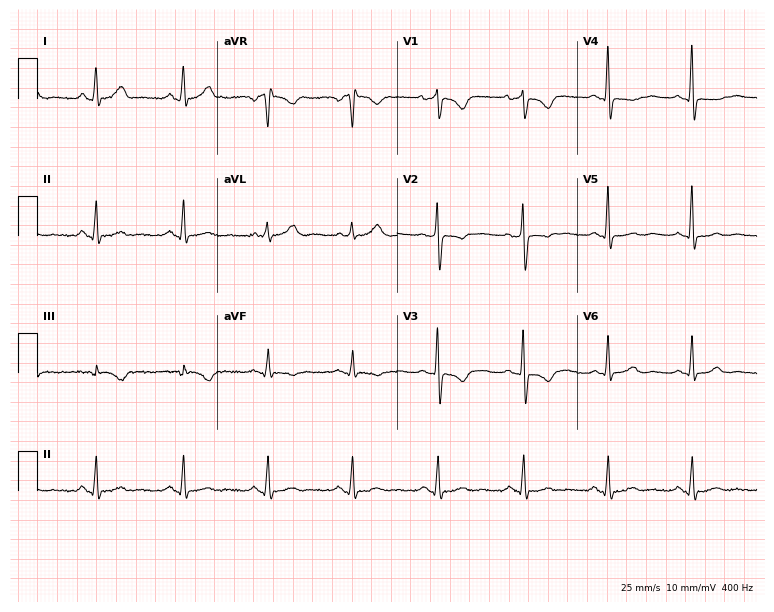
12-lead ECG from a female patient, 52 years old. Screened for six findings — first-degree AV block, right bundle branch block, left bundle branch block, sinus bradycardia, atrial fibrillation, sinus tachycardia — none is recorded.